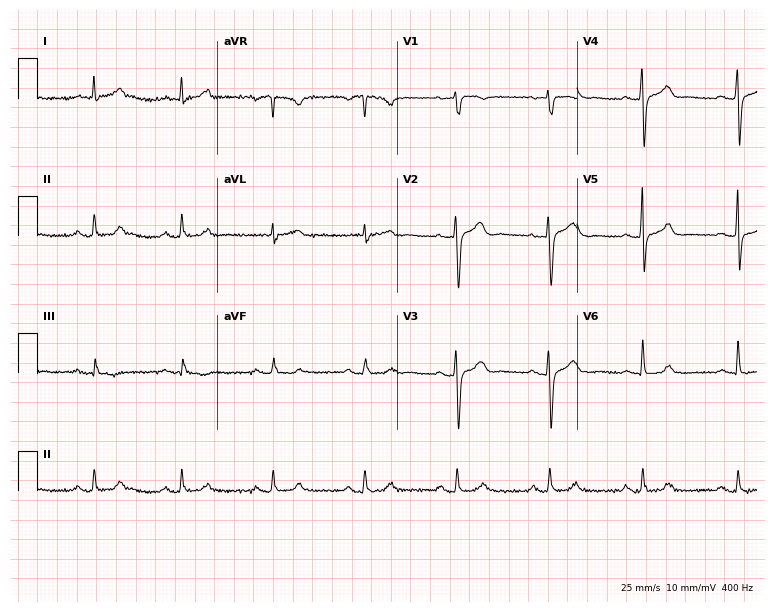
ECG — a 69-year-old male. Screened for six findings — first-degree AV block, right bundle branch block, left bundle branch block, sinus bradycardia, atrial fibrillation, sinus tachycardia — none is recorded. Other findings, if any, are not listed.